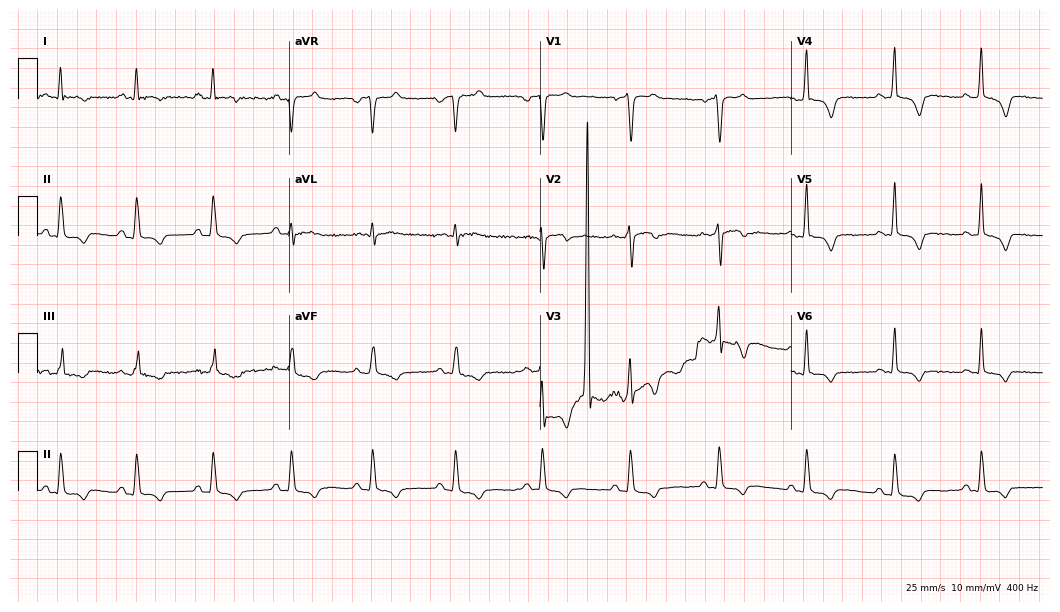
Resting 12-lead electrocardiogram (10.2-second recording at 400 Hz). Patient: a 56-year-old male. None of these six findings is recorded: first-degree AV block, right bundle branch block, left bundle branch block, sinus bradycardia, atrial fibrillation, sinus tachycardia.